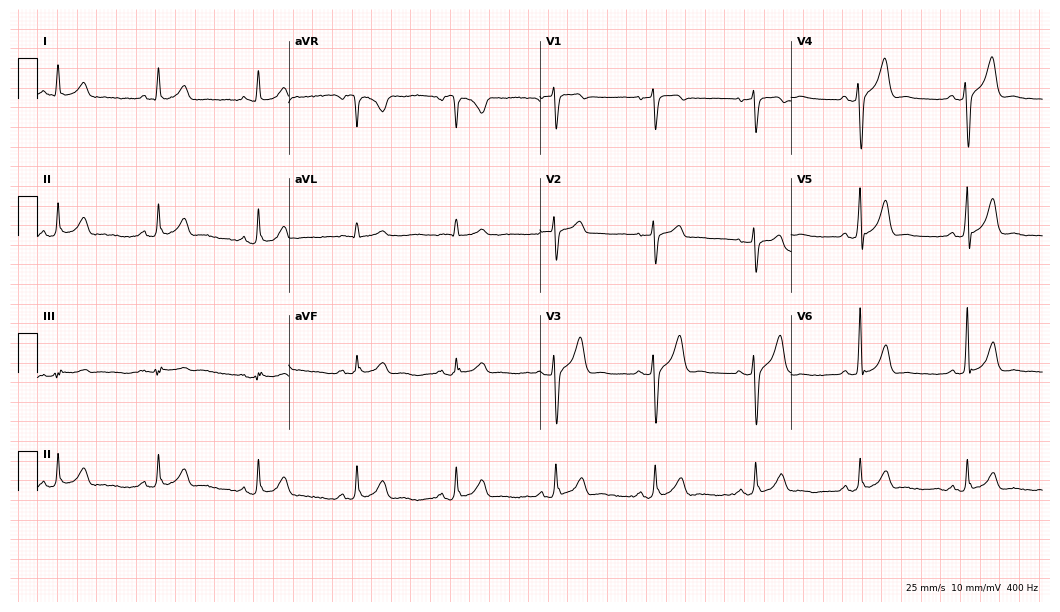
Resting 12-lead electrocardiogram (10.2-second recording at 400 Hz). Patient: a 73-year-old man. Read as a normal ECG.